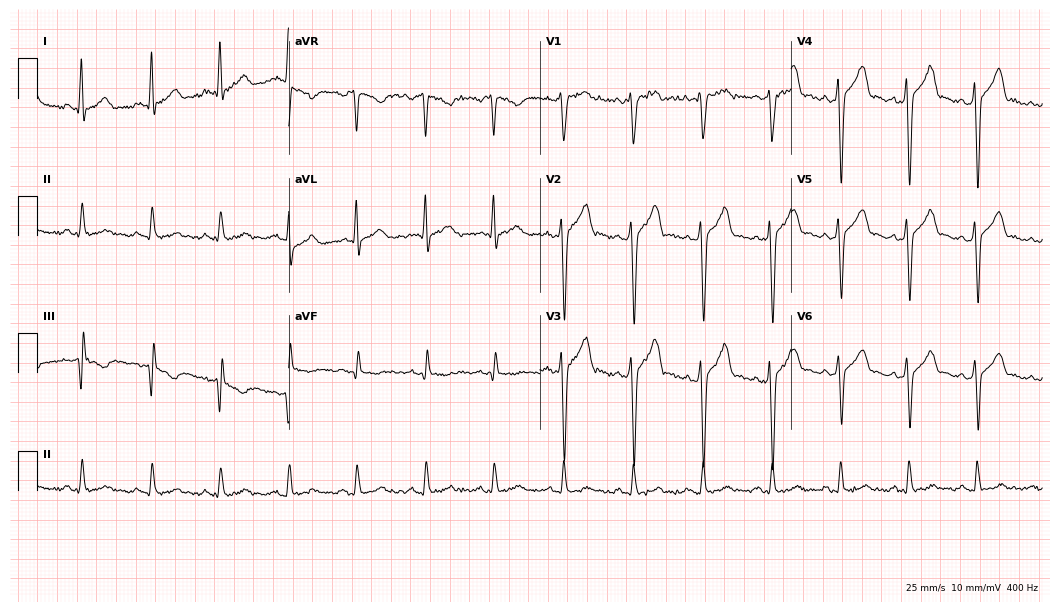
12-lead ECG from a male patient, 31 years old. No first-degree AV block, right bundle branch block (RBBB), left bundle branch block (LBBB), sinus bradycardia, atrial fibrillation (AF) or sinus tachycardia recorded for this tracing.